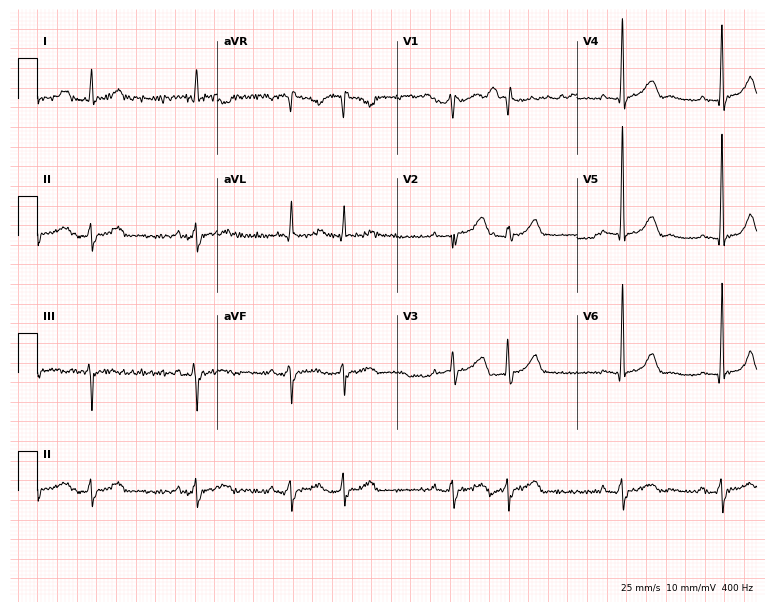
12-lead ECG from a 73-year-old man. Labelled as a normal ECG.